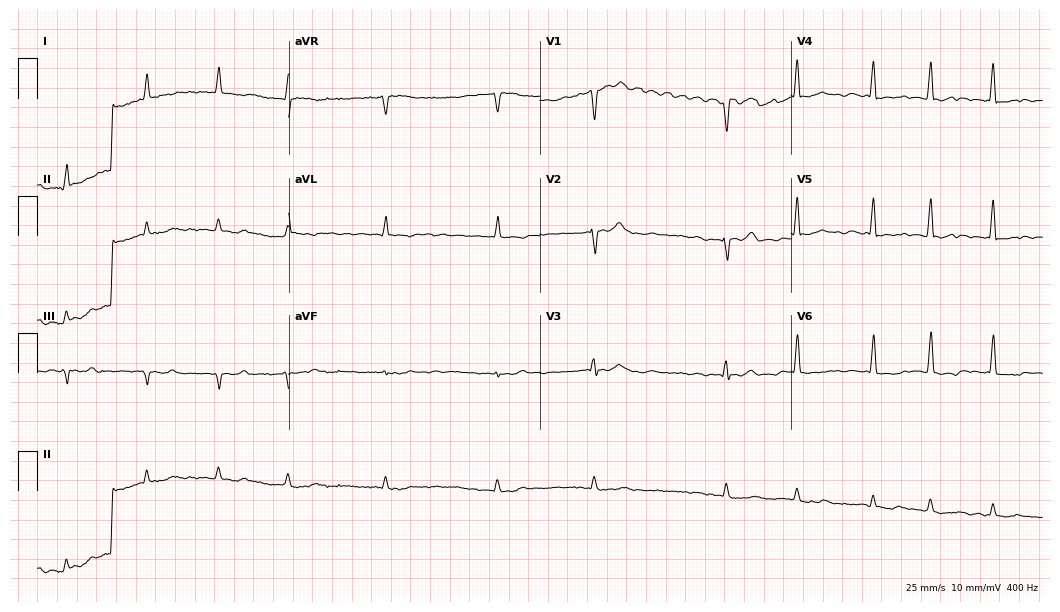
12-lead ECG from a male patient, 82 years old. Findings include atrial fibrillation.